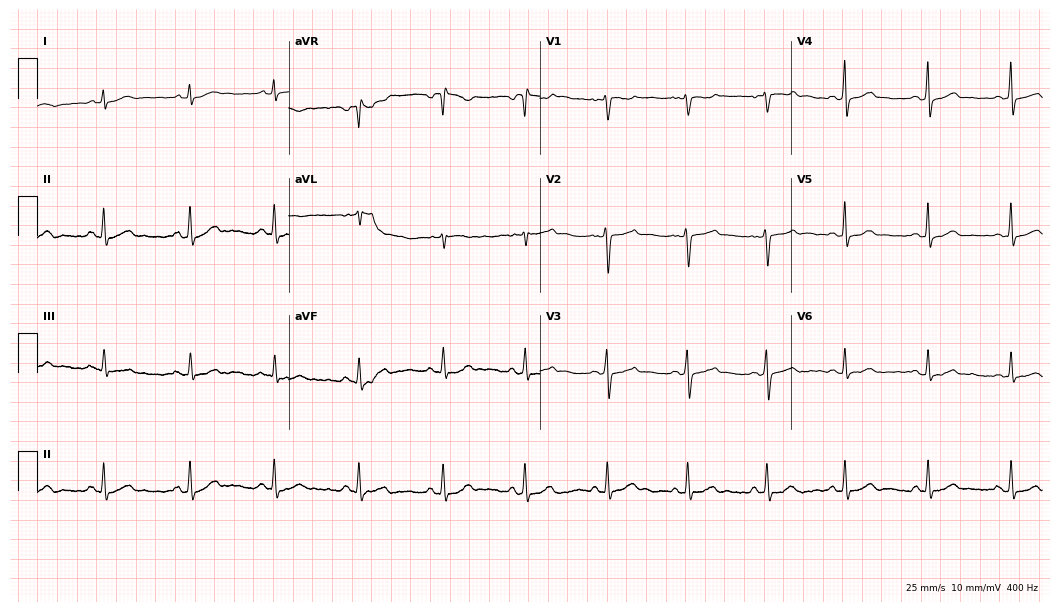
Standard 12-lead ECG recorded from a woman, 39 years old (10.2-second recording at 400 Hz). Read as a normal ECG.